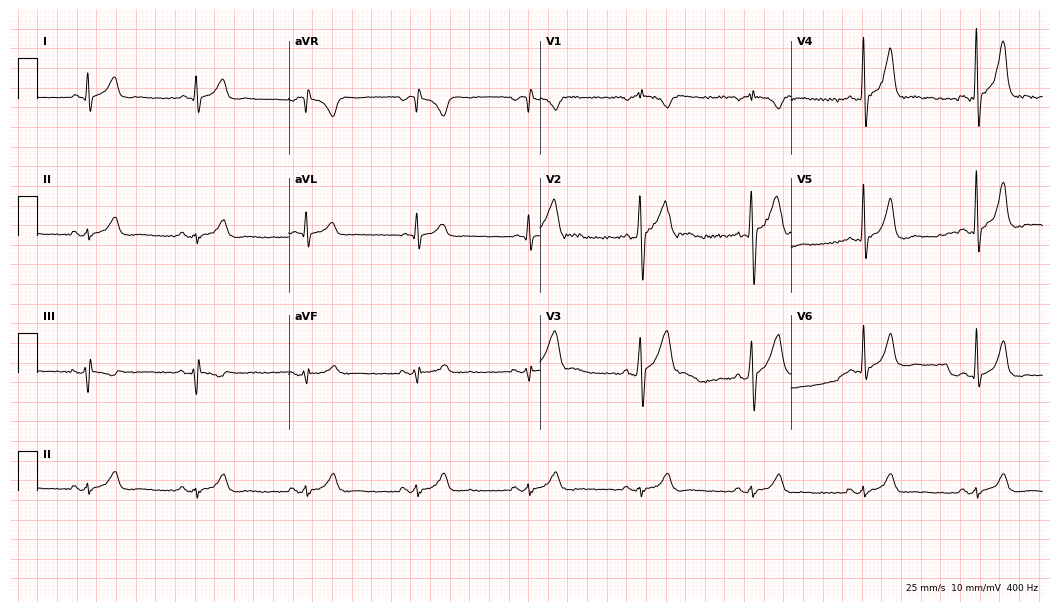
ECG — a male, 58 years old. Labelled as a normal ECG.